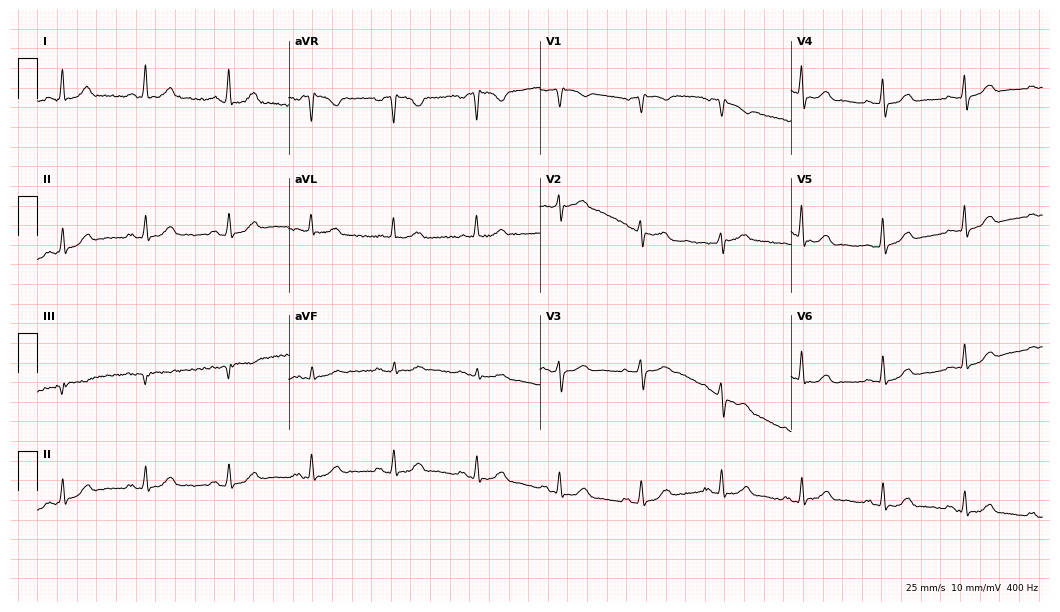
Electrocardiogram, a woman, 67 years old. Overall reading on record: normal ECG.